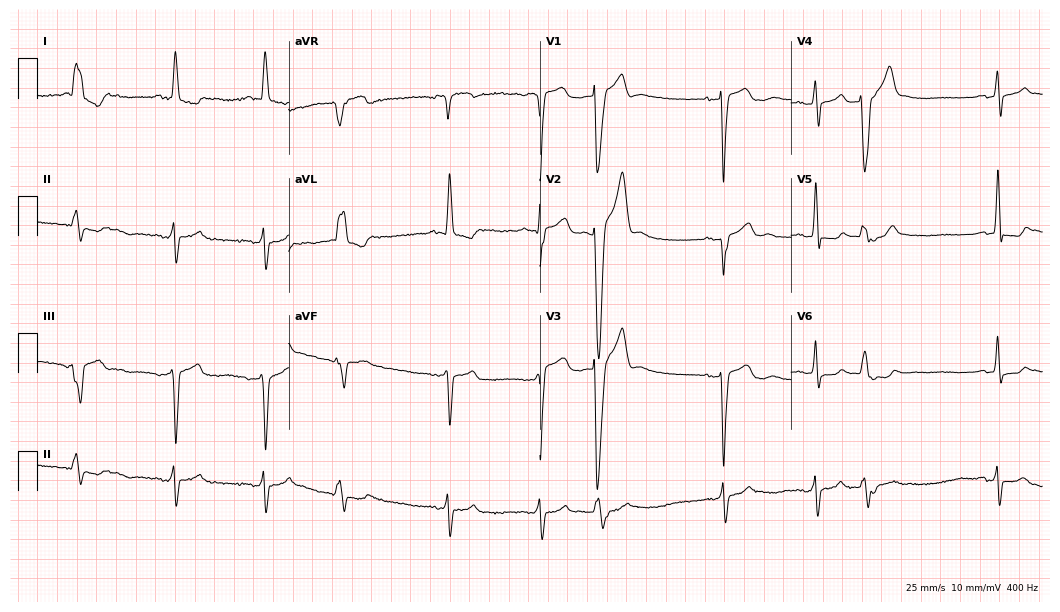
Standard 12-lead ECG recorded from a female, 81 years old. None of these six findings is recorded: first-degree AV block, right bundle branch block, left bundle branch block, sinus bradycardia, atrial fibrillation, sinus tachycardia. Other findings, if any, are not listed.